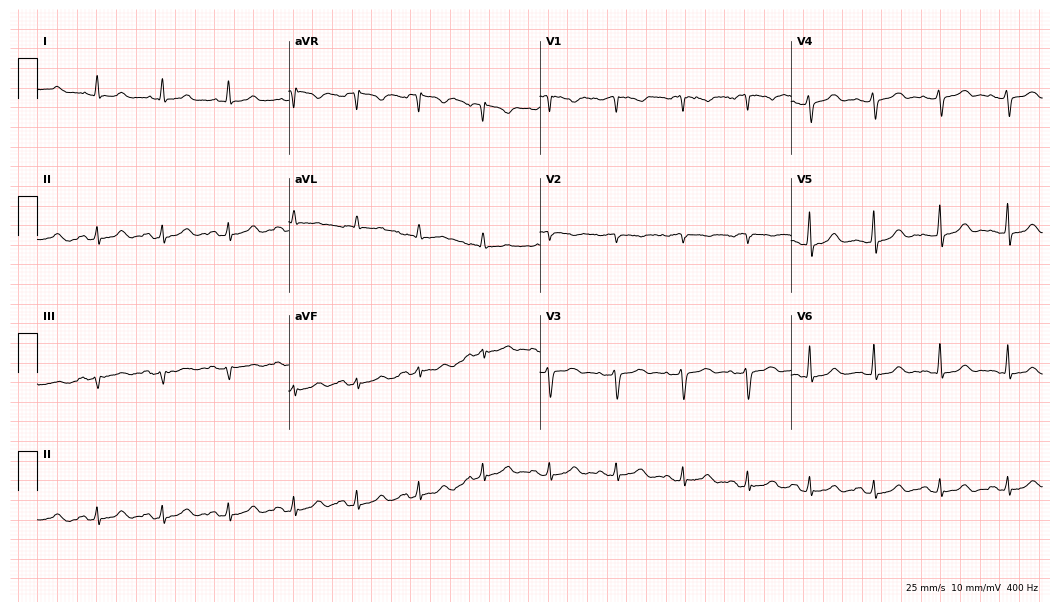
12-lead ECG from a 53-year-old woman (10.2-second recording at 400 Hz). No first-degree AV block, right bundle branch block (RBBB), left bundle branch block (LBBB), sinus bradycardia, atrial fibrillation (AF) or sinus tachycardia recorded for this tracing.